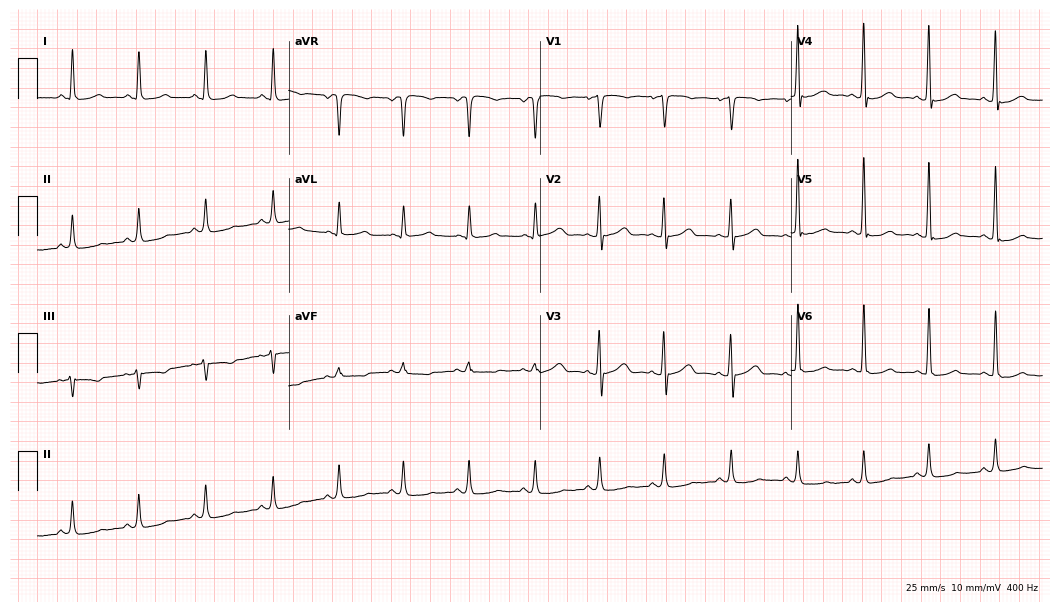
Electrocardiogram (10.2-second recording at 400 Hz), a female, 38 years old. Overall reading on record: normal ECG.